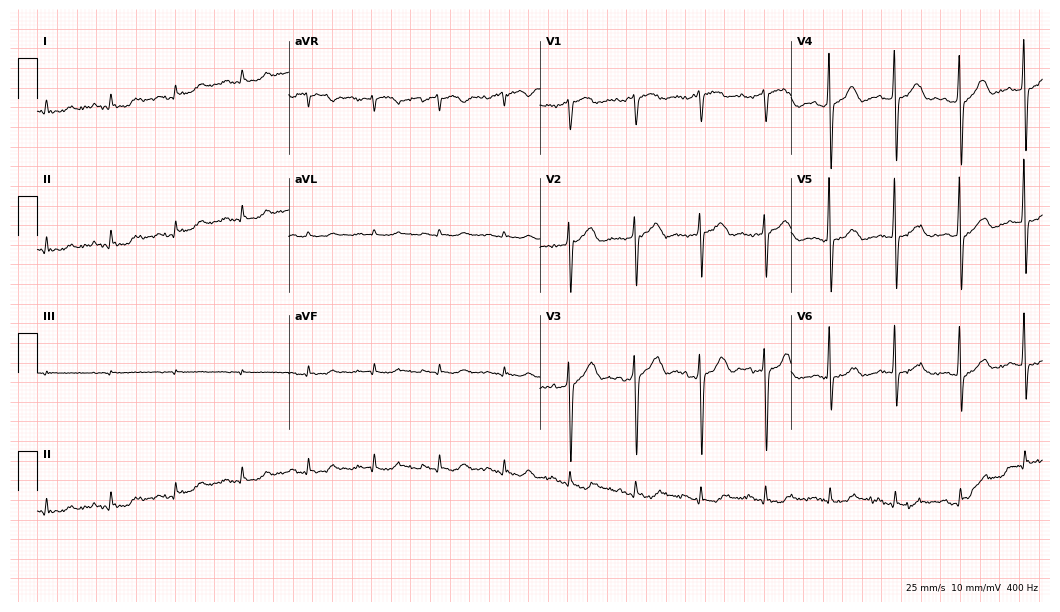
Standard 12-lead ECG recorded from a man, 76 years old. None of these six findings is recorded: first-degree AV block, right bundle branch block, left bundle branch block, sinus bradycardia, atrial fibrillation, sinus tachycardia.